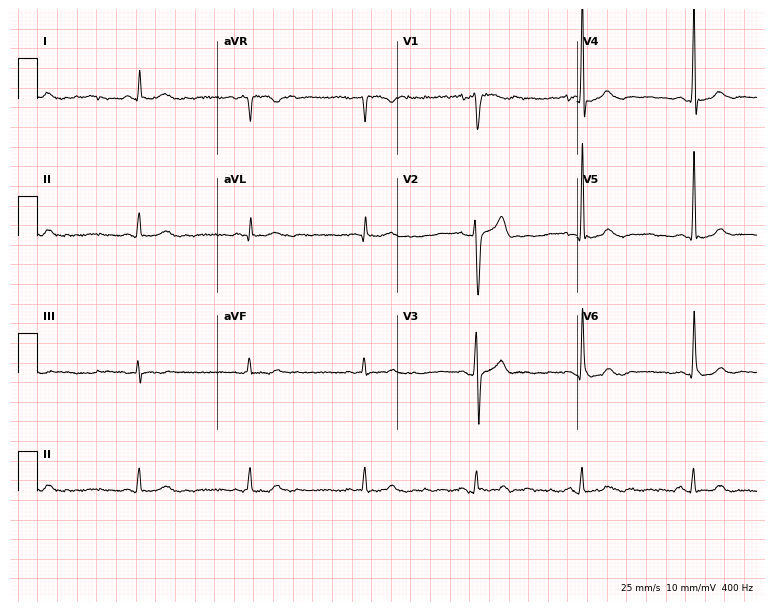
Standard 12-lead ECG recorded from a man, 40 years old. Read as a normal ECG.